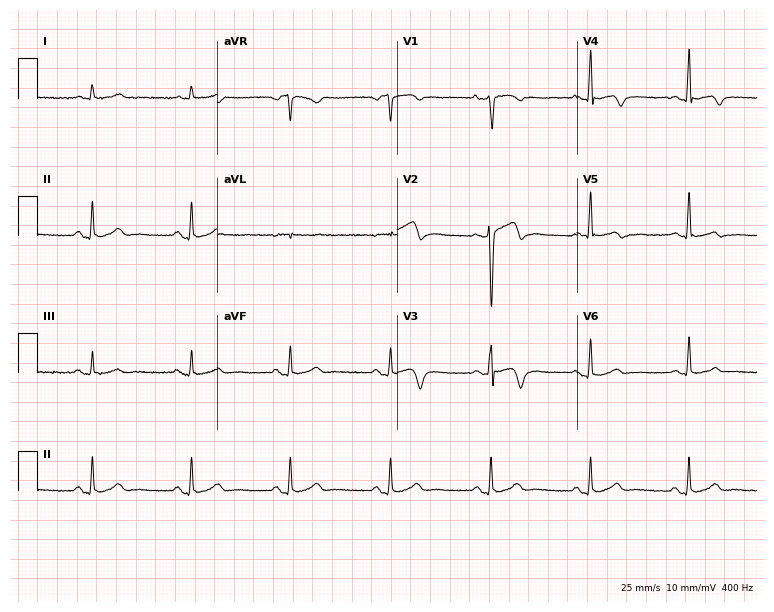
ECG (7.3-second recording at 400 Hz) — a man, 65 years old. Screened for six findings — first-degree AV block, right bundle branch block, left bundle branch block, sinus bradycardia, atrial fibrillation, sinus tachycardia — none is recorded.